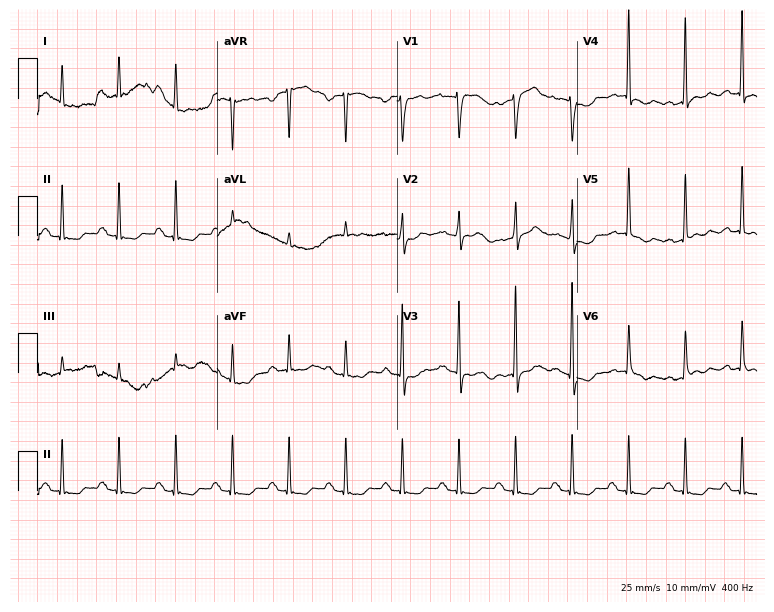
12-lead ECG from a 79-year-old woman (7.3-second recording at 400 Hz). No first-degree AV block, right bundle branch block, left bundle branch block, sinus bradycardia, atrial fibrillation or sinus tachycardia recorded for this tracing. Other findings, if any, are not listed.